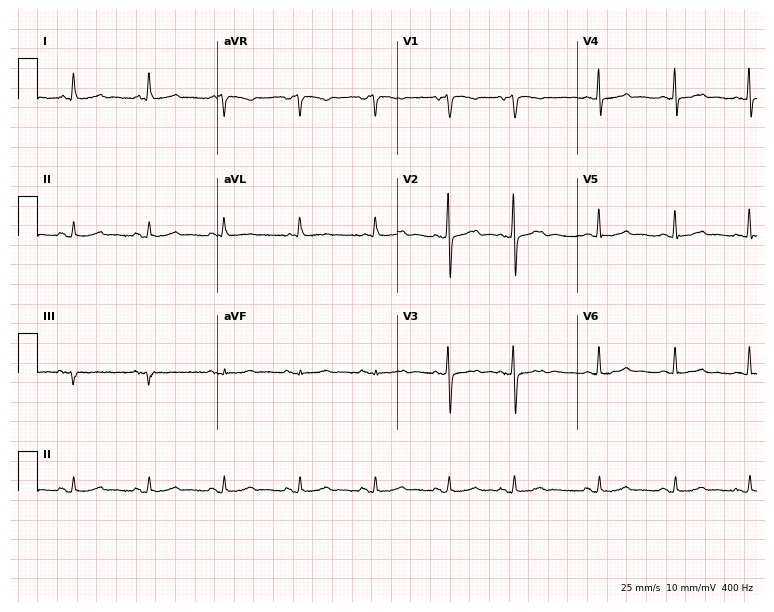
Resting 12-lead electrocardiogram. Patient: a woman, 80 years old. Read as a normal ECG.